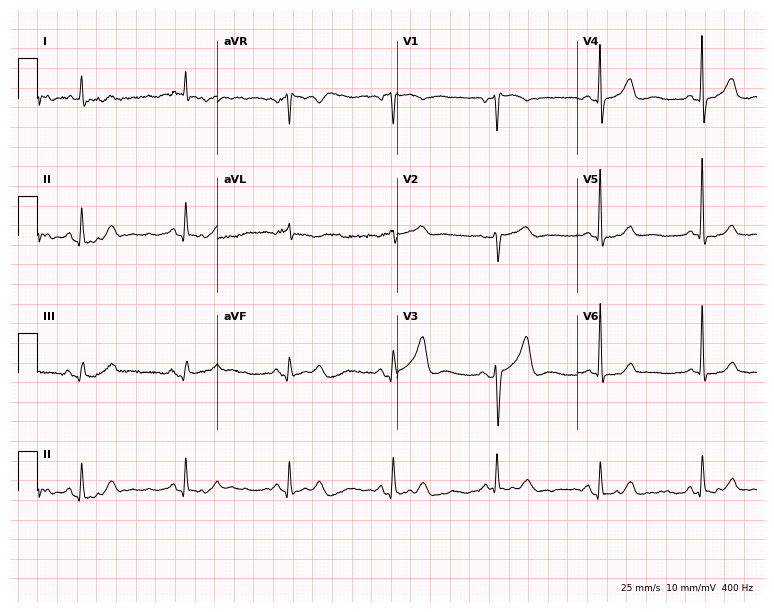
ECG (7.3-second recording at 400 Hz) — a male patient, 85 years old. Screened for six findings — first-degree AV block, right bundle branch block (RBBB), left bundle branch block (LBBB), sinus bradycardia, atrial fibrillation (AF), sinus tachycardia — none is recorded.